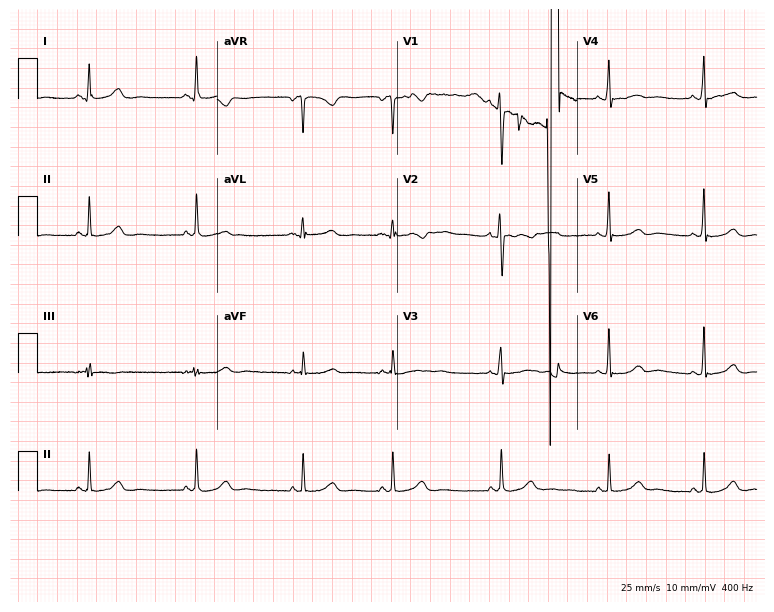
12-lead ECG from a female patient, 26 years old. Recorded interpretation: within normal limits.